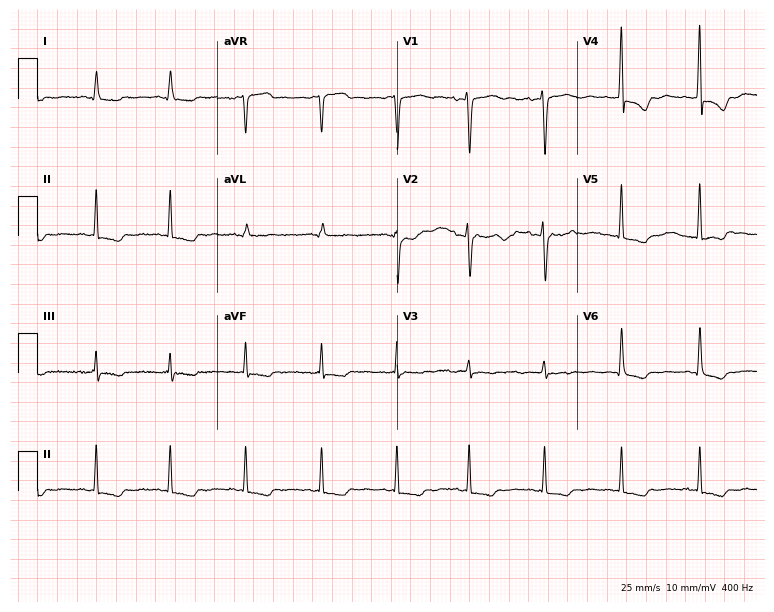
Standard 12-lead ECG recorded from a 37-year-old female patient. None of these six findings is recorded: first-degree AV block, right bundle branch block, left bundle branch block, sinus bradycardia, atrial fibrillation, sinus tachycardia.